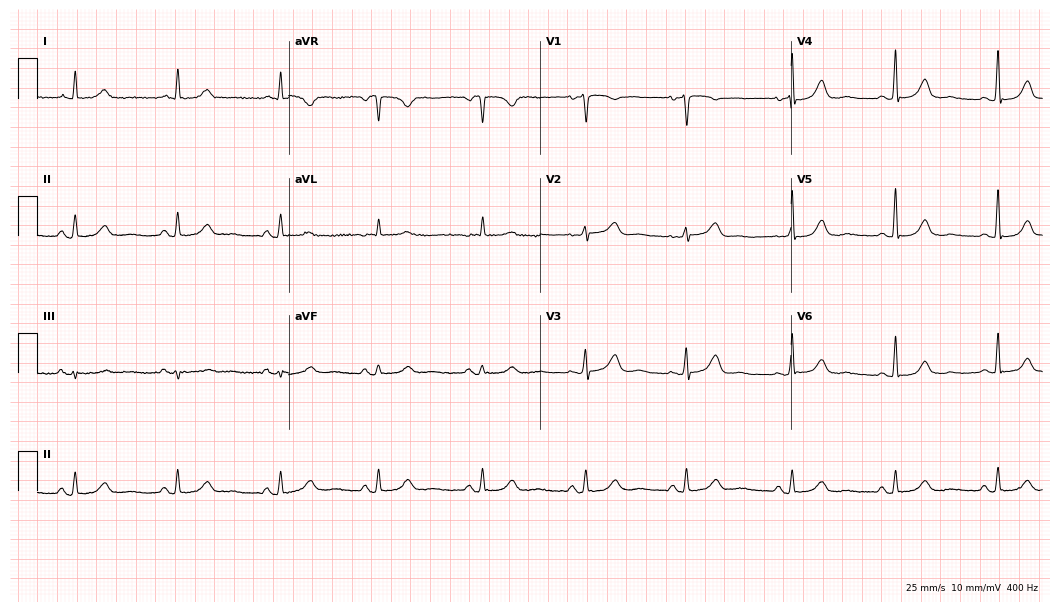
12-lead ECG from a female, 61 years old. Labelled as a normal ECG.